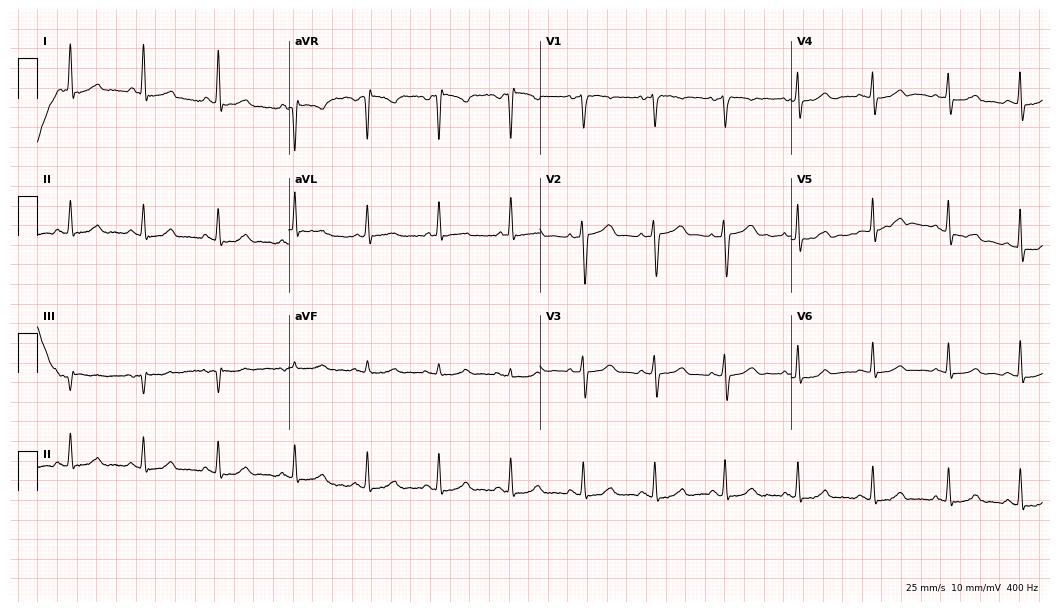
Resting 12-lead electrocardiogram. Patient: a female, 43 years old. None of these six findings is recorded: first-degree AV block, right bundle branch block (RBBB), left bundle branch block (LBBB), sinus bradycardia, atrial fibrillation (AF), sinus tachycardia. Other findings, if any, are not listed.